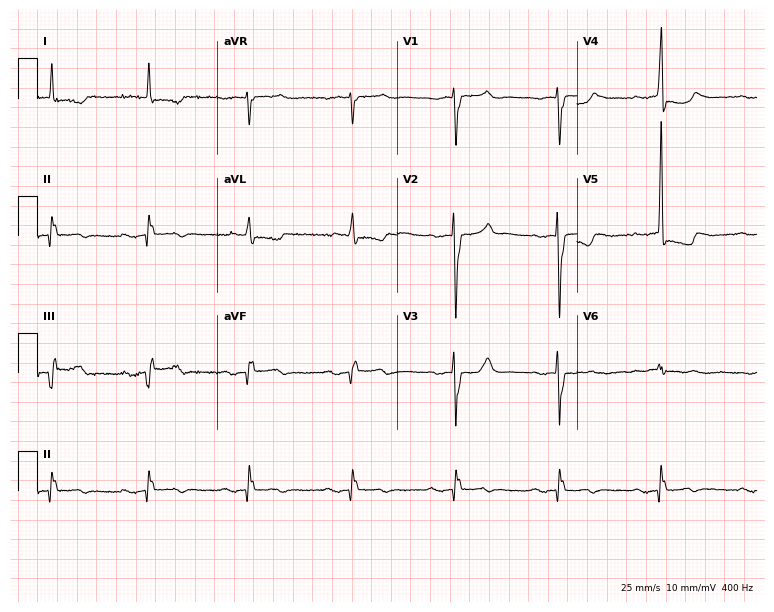
12-lead ECG from a male, 72 years old. Shows first-degree AV block.